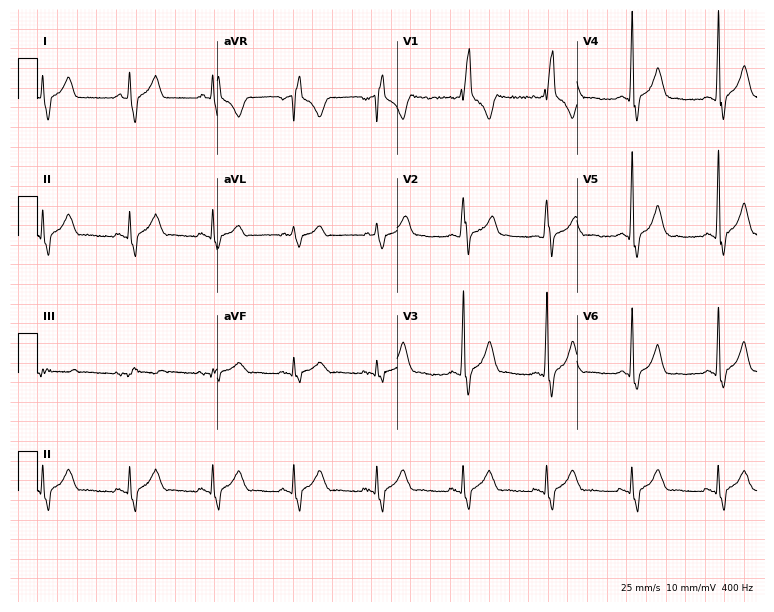
ECG (7.3-second recording at 400 Hz) — a 31-year-old man. Findings include right bundle branch block (RBBB).